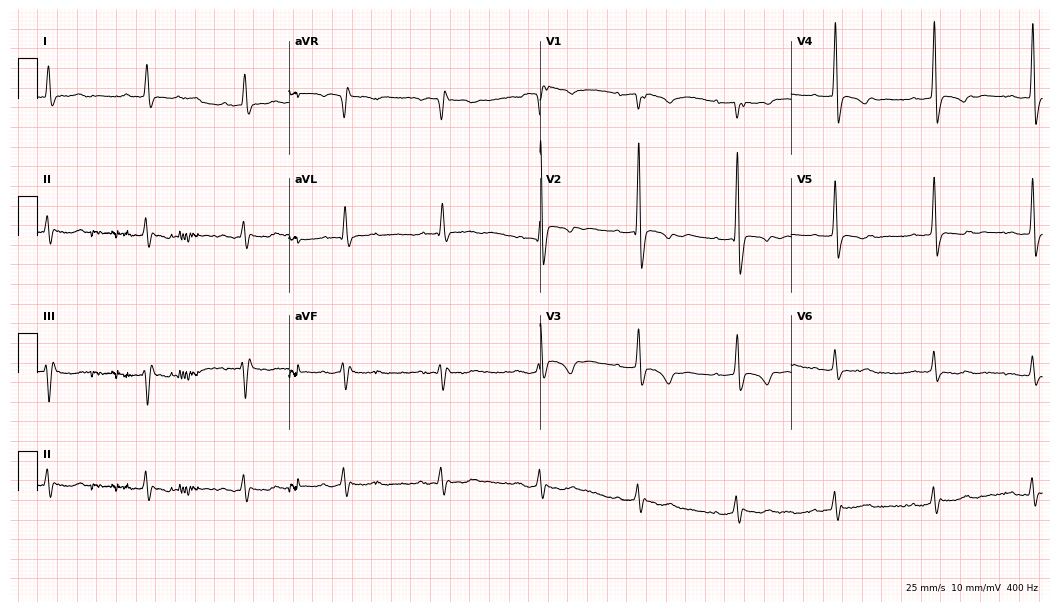
ECG (10.2-second recording at 400 Hz) — a male patient, 84 years old. Screened for six findings — first-degree AV block, right bundle branch block, left bundle branch block, sinus bradycardia, atrial fibrillation, sinus tachycardia — none is recorded. Other findings, if any, are not listed.